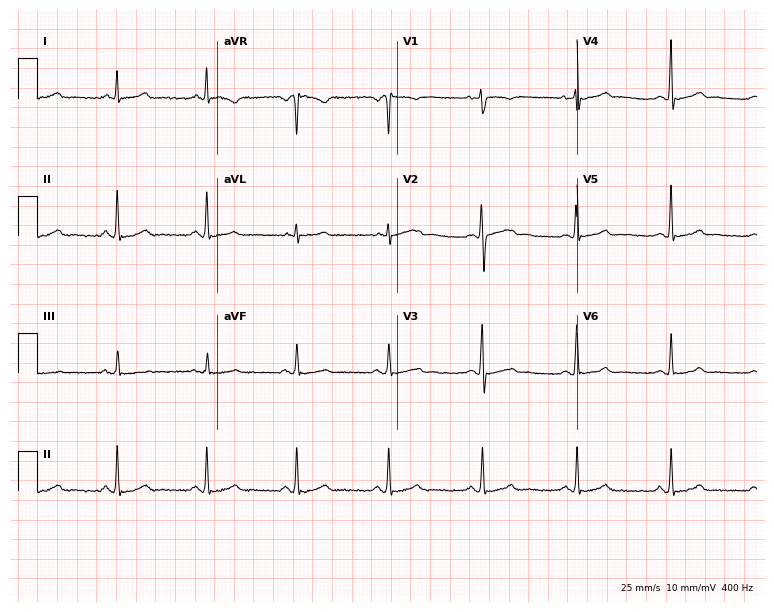
12-lead ECG from a 35-year-old woman. Recorded interpretation: within normal limits.